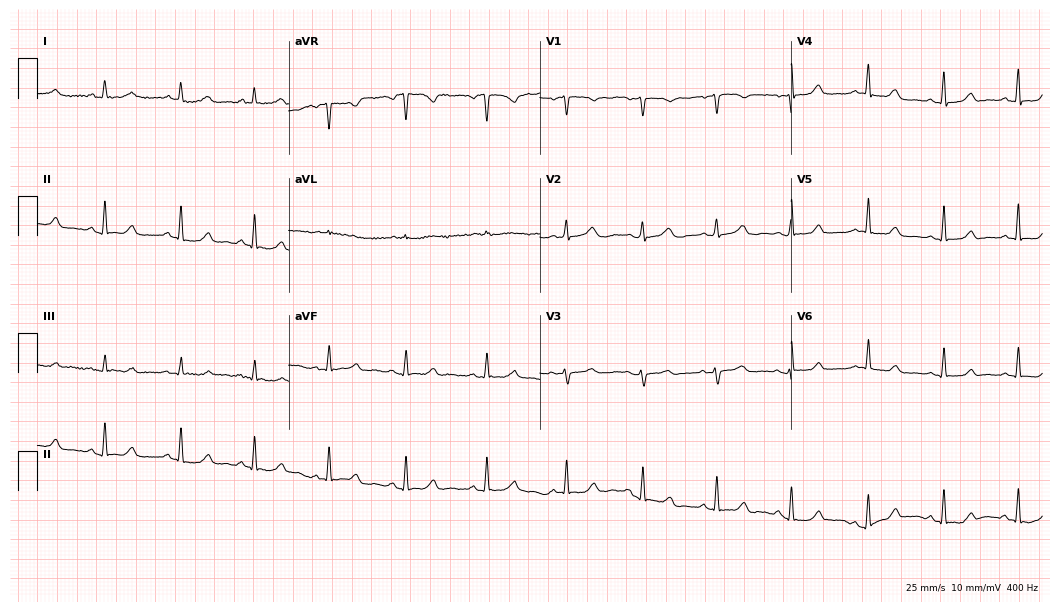
12-lead ECG from a 49-year-old woman. Recorded interpretation: within normal limits.